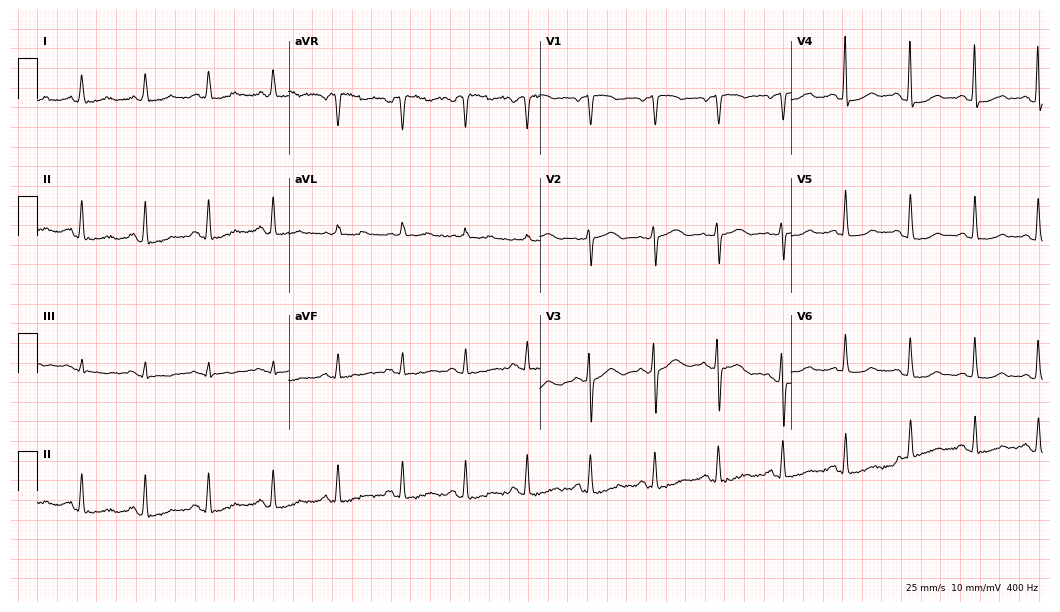
Resting 12-lead electrocardiogram (10.2-second recording at 400 Hz). Patient: a man, 61 years old. Read as a normal ECG.